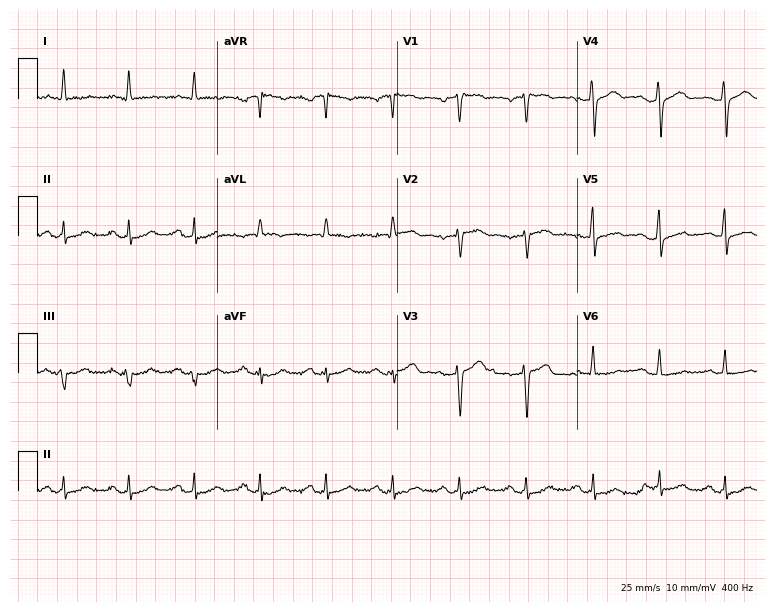
12-lead ECG from a 56-year-old man (7.3-second recording at 400 Hz). No first-degree AV block, right bundle branch block, left bundle branch block, sinus bradycardia, atrial fibrillation or sinus tachycardia recorded for this tracing. Only these six findings were labelled.